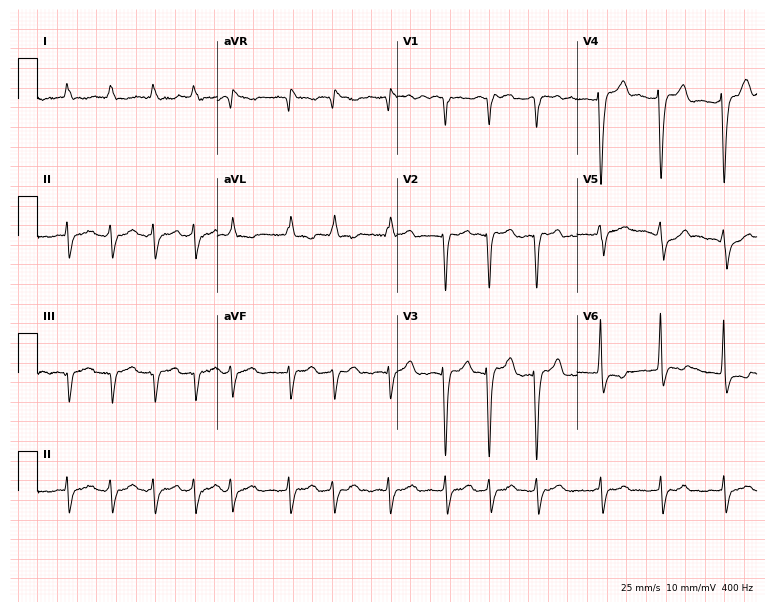
Resting 12-lead electrocardiogram (7.3-second recording at 400 Hz). Patient: a 66-year-old female. The tracing shows atrial fibrillation (AF).